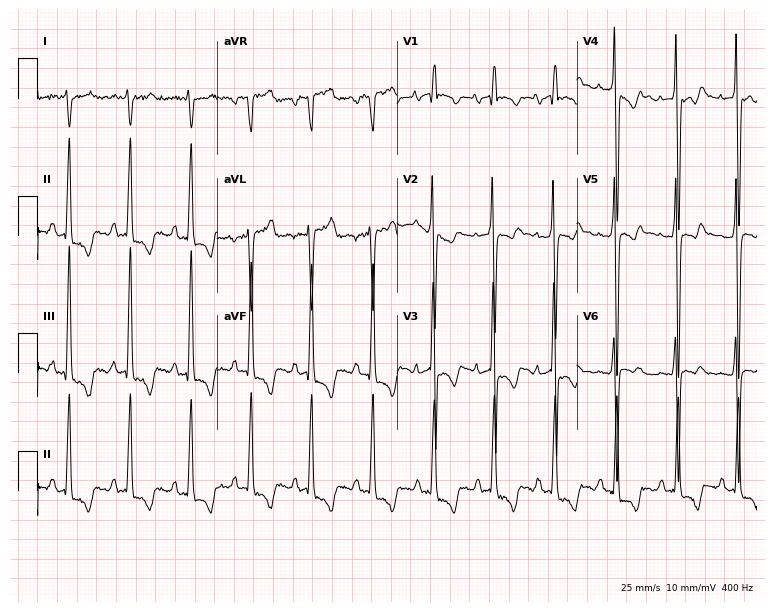
Electrocardiogram (7.3-second recording at 400 Hz), a 78-year-old woman. Of the six screened findings (first-degree AV block, right bundle branch block, left bundle branch block, sinus bradycardia, atrial fibrillation, sinus tachycardia), none is recorded.